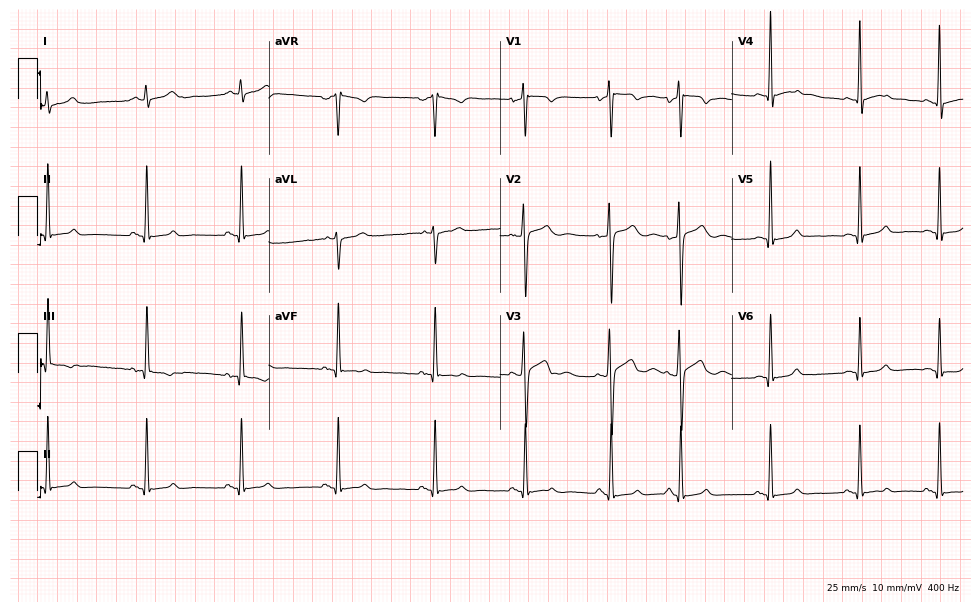
Resting 12-lead electrocardiogram (9.4-second recording at 400 Hz). Patient: a 27-year-old male. Read as a normal ECG.